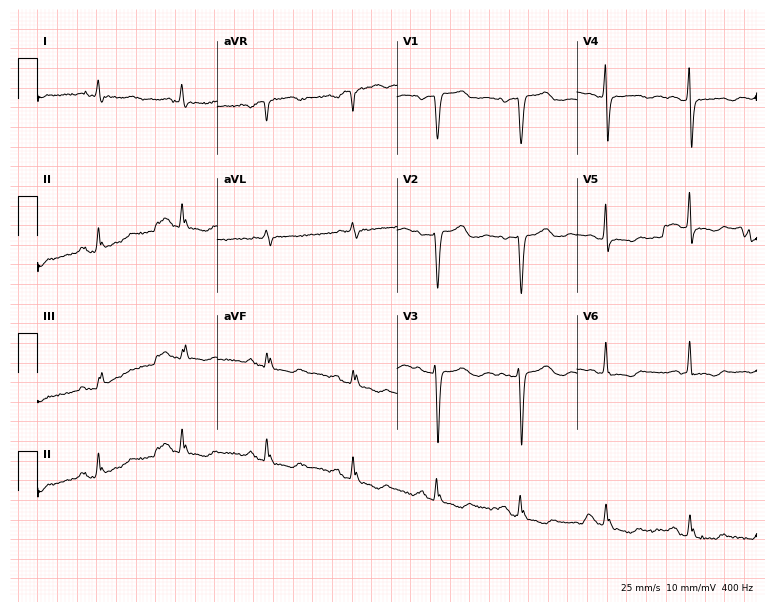
ECG — a 74-year-old female. Screened for six findings — first-degree AV block, right bundle branch block, left bundle branch block, sinus bradycardia, atrial fibrillation, sinus tachycardia — none is recorded. Other findings, if any, are not listed.